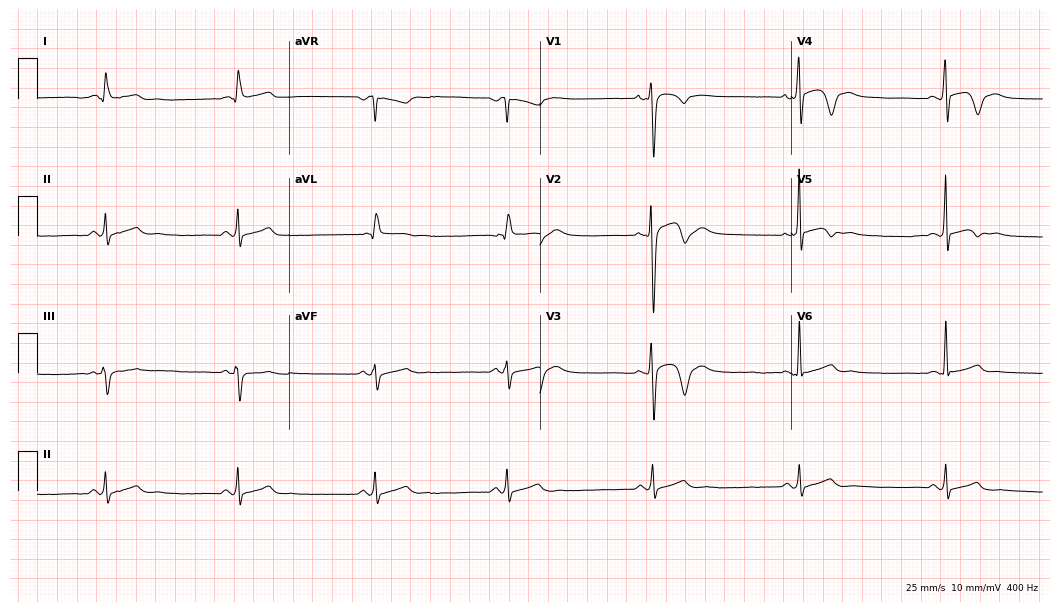
12-lead ECG from a 24-year-old male patient. Shows sinus bradycardia (a sinus rate of 50 beats per minute or less).